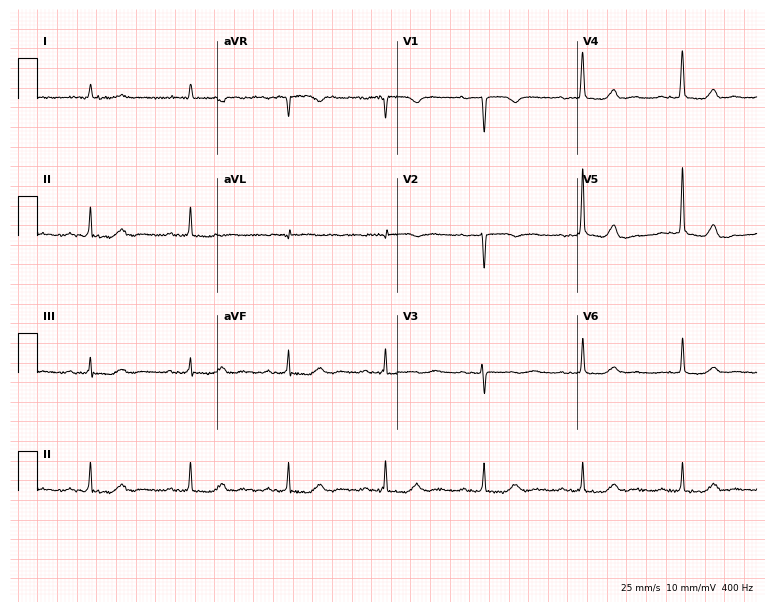
12-lead ECG (7.3-second recording at 400 Hz) from a 59-year-old female. Screened for six findings — first-degree AV block, right bundle branch block, left bundle branch block, sinus bradycardia, atrial fibrillation, sinus tachycardia — none is recorded. Other findings, if any, are not listed.